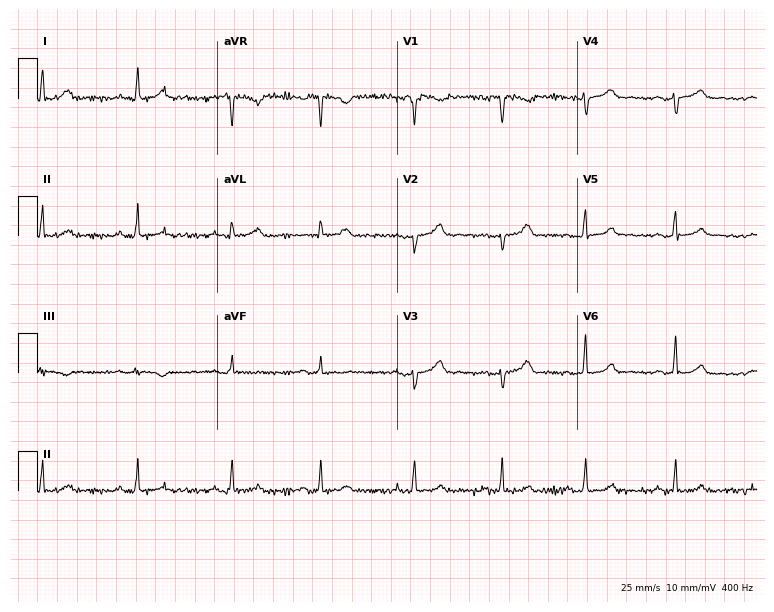
12-lead ECG from a 26-year-old female (7.3-second recording at 400 Hz). No first-degree AV block, right bundle branch block, left bundle branch block, sinus bradycardia, atrial fibrillation or sinus tachycardia recorded for this tracing.